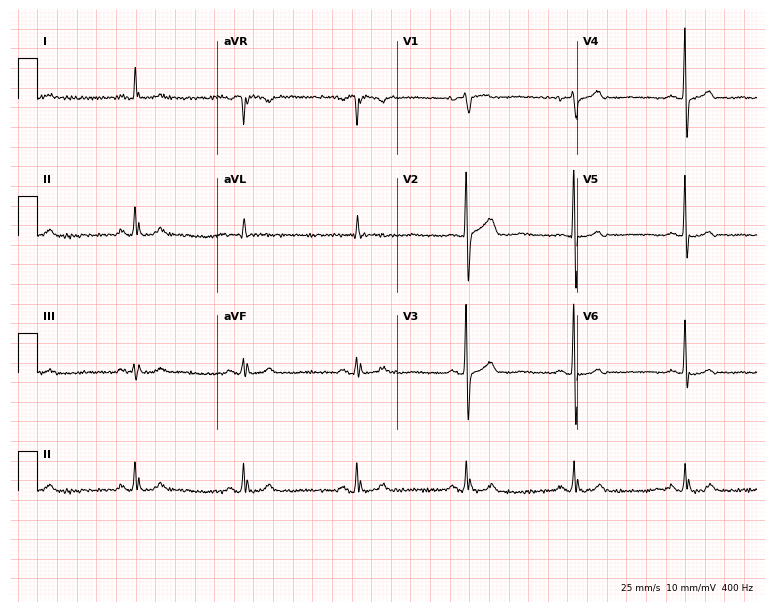
12-lead ECG from an 85-year-old female patient. No first-degree AV block, right bundle branch block, left bundle branch block, sinus bradycardia, atrial fibrillation or sinus tachycardia recorded for this tracing. Only these six findings were labelled.